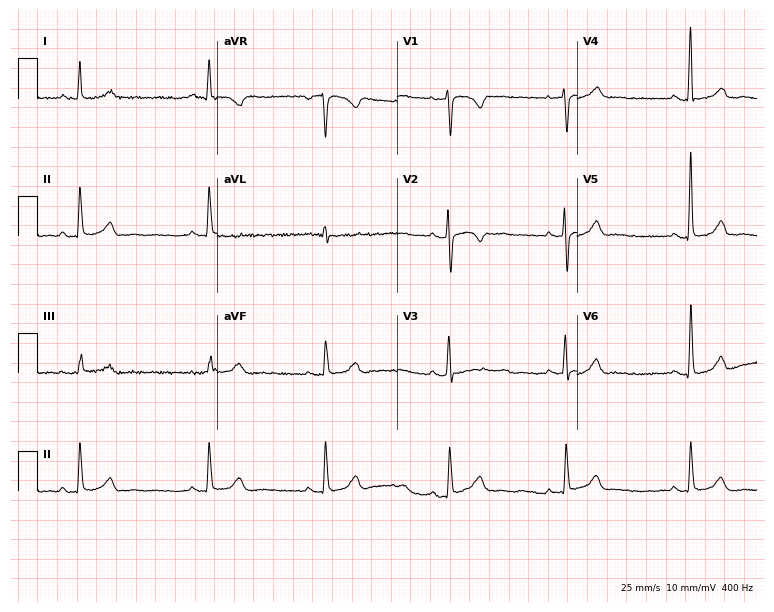
12-lead ECG from a female, 50 years old. Findings include sinus bradycardia (a sinus rate of 50 beats per minute or less).